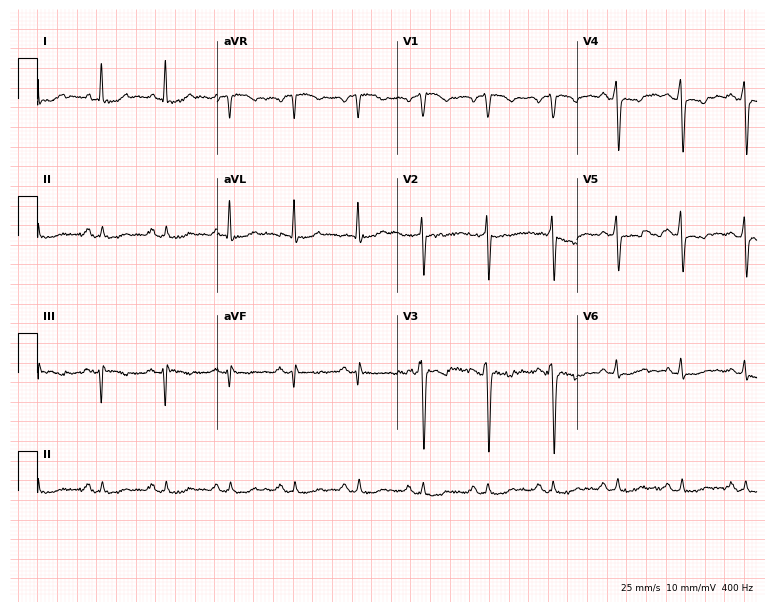
ECG (7.3-second recording at 400 Hz) — a 60-year-old male patient. Screened for six findings — first-degree AV block, right bundle branch block, left bundle branch block, sinus bradycardia, atrial fibrillation, sinus tachycardia — none is recorded. Findings outside these six are not listed.